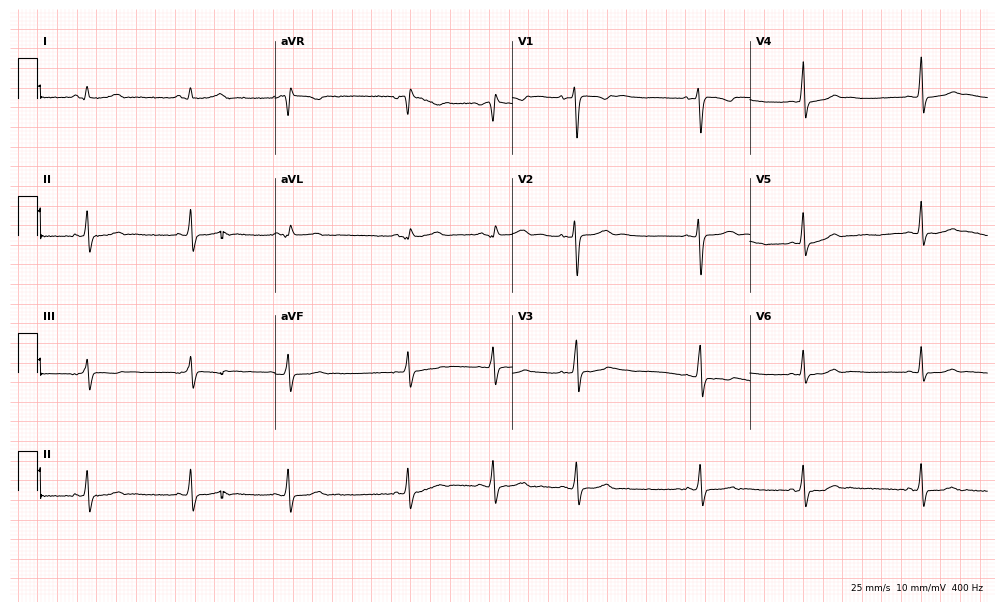
12-lead ECG (9.7-second recording at 400 Hz) from an 18-year-old woman. Screened for six findings — first-degree AV block, right bundle branch block, left bundle branch block, sinus bradycardia, atrial fibrillation, sinus tachycardia — none is recorded. Findings outside these six are not listed.